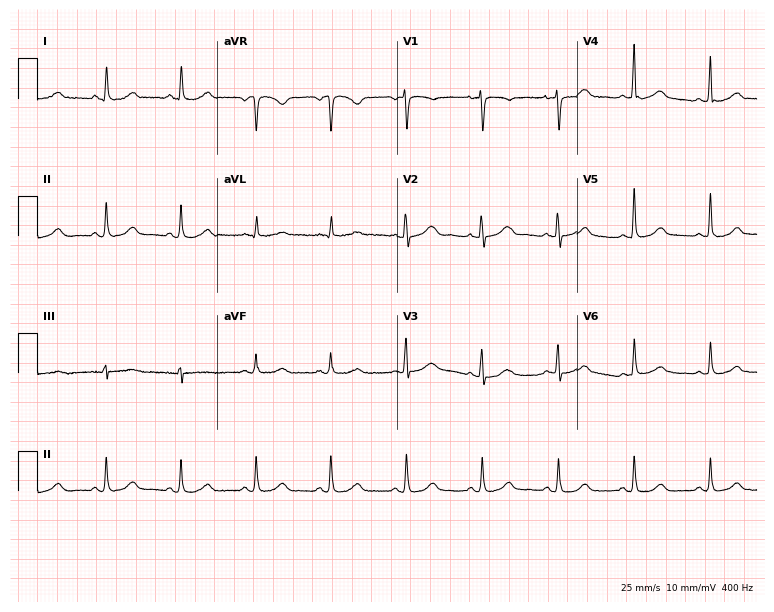
Electrocardiogram (7.3-second recording at 400 Hz), a 67-year-old female. Overall reading on record: normal ECG.